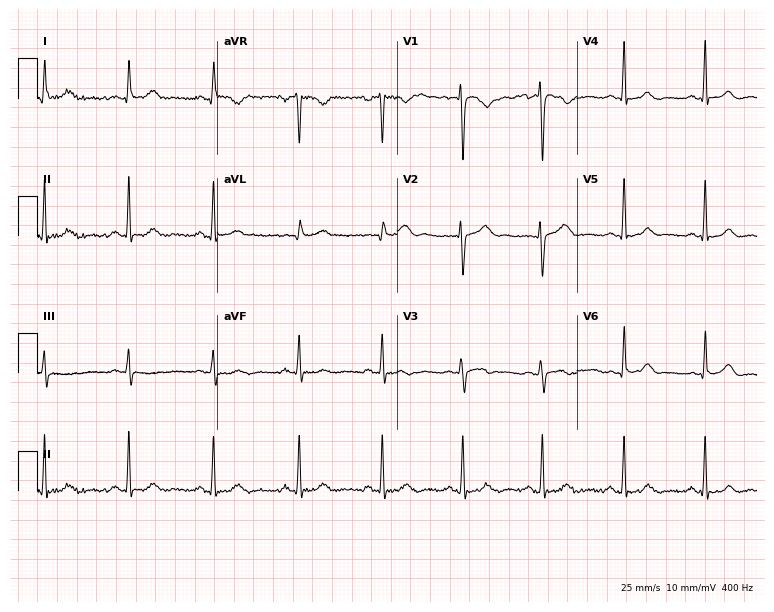
12-lead ECG from a 51-year-old female (7.3-second recording at 400 Hz). Recorded interpretation: within normal limits.